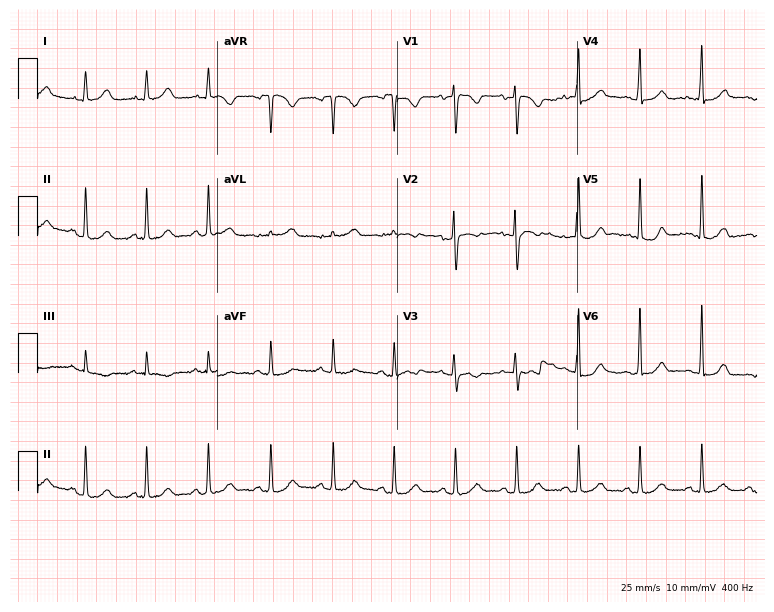
Resting 12-lead electrocardiogram (7.3-second recording at 400 Hz). Patient: a 36-year-old female. Read as a normal ECG.